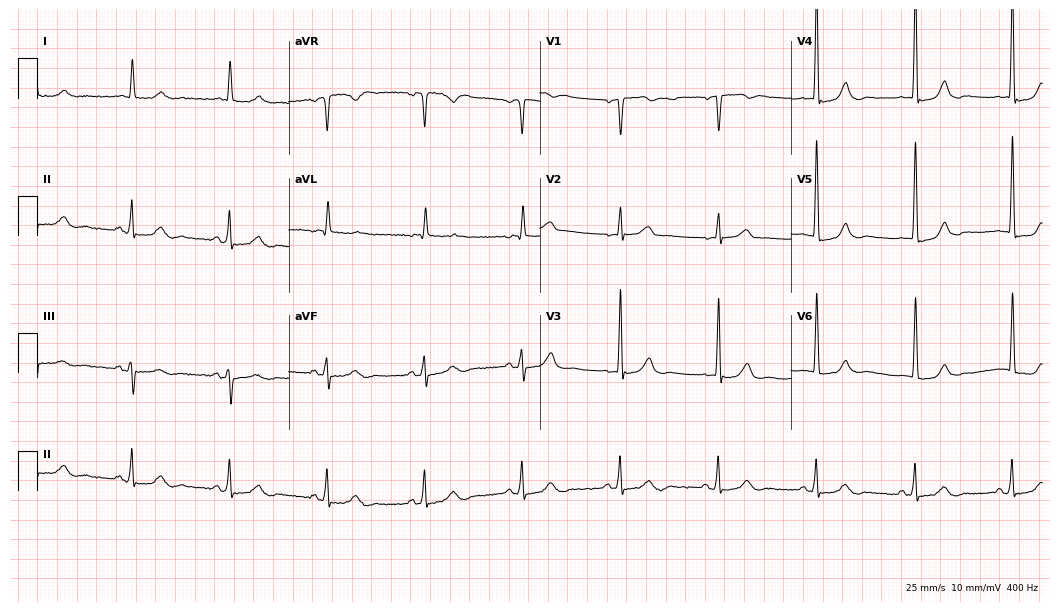
12-lead ECG from a male, 74 years old (10.2-second recording at 400 Hz). Recorded interpretation: within normal limits.